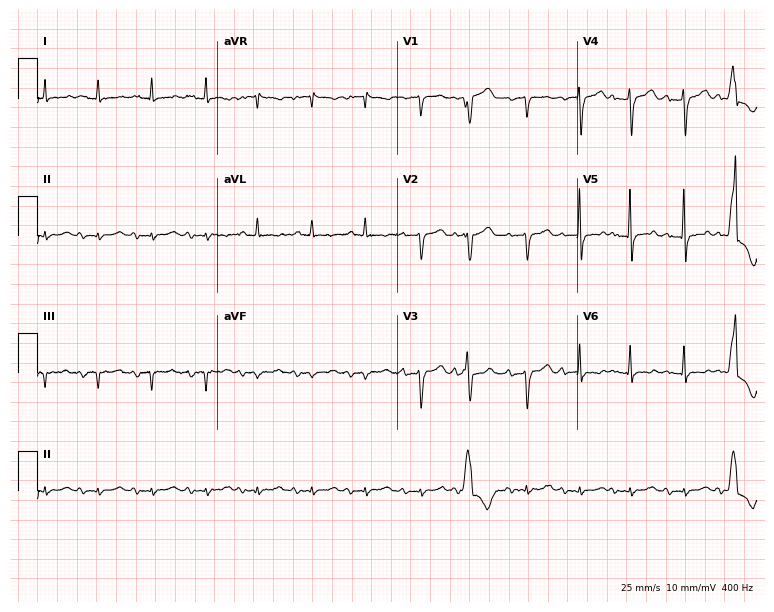
ECG (7.3-second recording at 400 Hz) — a man, 81 years old. Findings include sinus tachycardia (a sinus rate of 100 beats per minute or more).